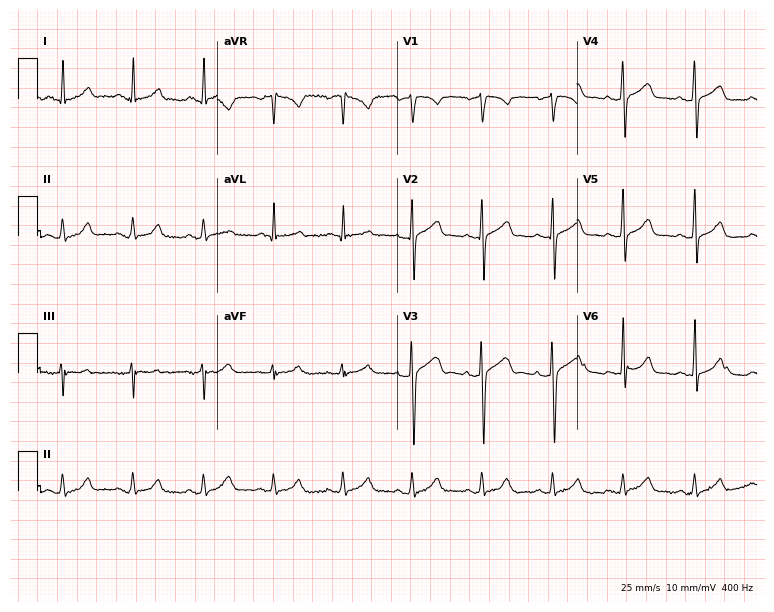
Standard 12-lead ECG recorded from a male, 40 years old (7.3-second recording at 400 Hz). Read as a normal ECG.